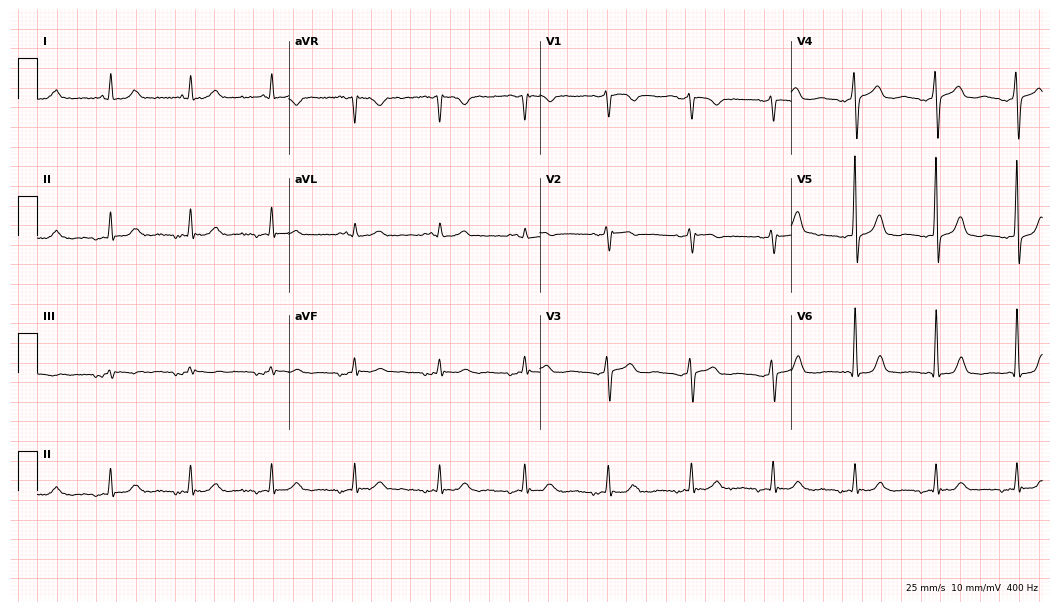
12-lead ECG from a 58-year-old woman. Recorded interpretation: within normal limits.